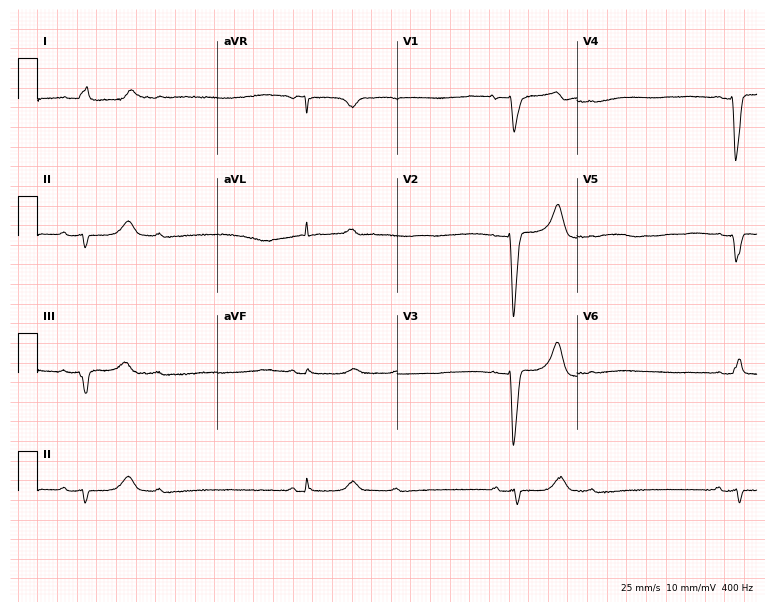
12-lead ECG from a female patient, 82 years old (7.3-second recording at 400 Hz). No first-degree AV block, right bundle branch block, left bundle branch block, sinus bradycardia, atrial fibrillation or sinus tachycardia recorded for this tracing. Only these six findings were labelled.